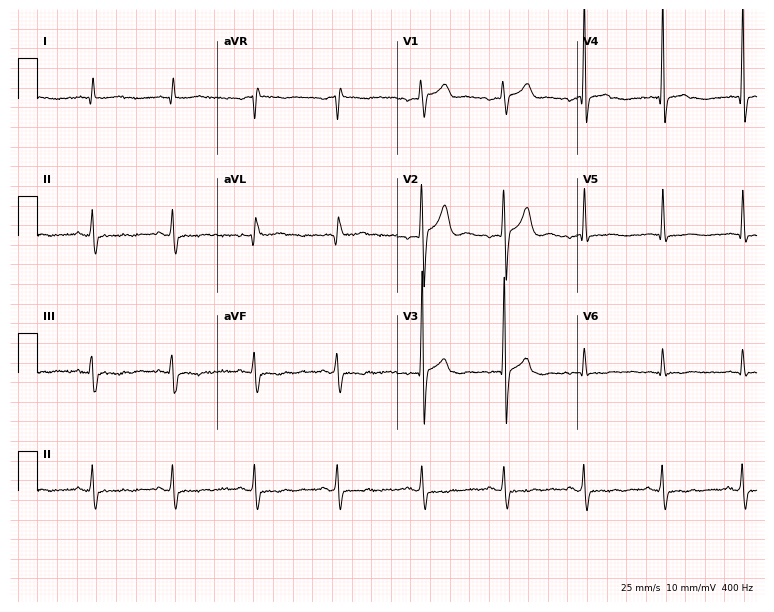
ECG (7.3-second recording at 400 Hz) — a 40-year-old male patient. Screened for six findings — first-degree AV block, right bundle branch block, left bundle branch block, sinus bradycardia, atrial fibrillation, sinus tachycardia — none is recorded.